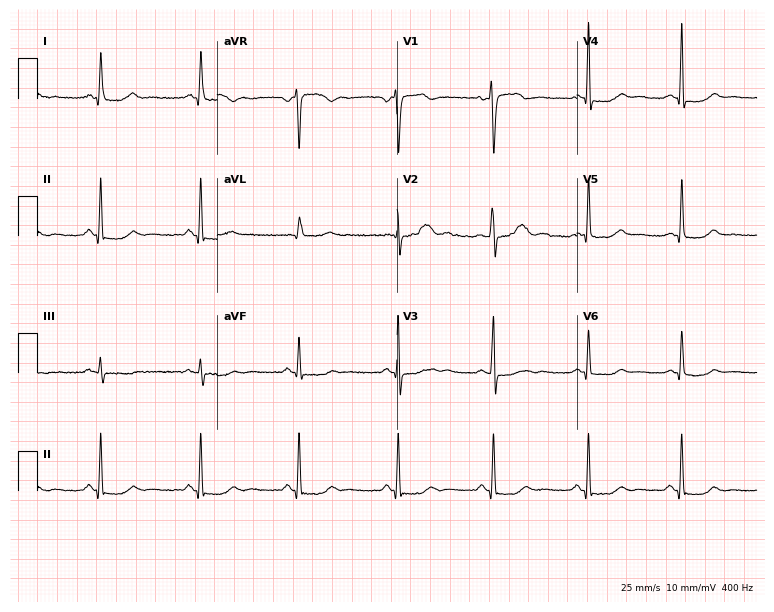
12-lead ECG from a woman, 44 years old. No first-degree AV block, right bundle branch block, left bundle branch block, sinus bradycardia, atrial fibrillation or sinus tachycardia recorded for this tracing.